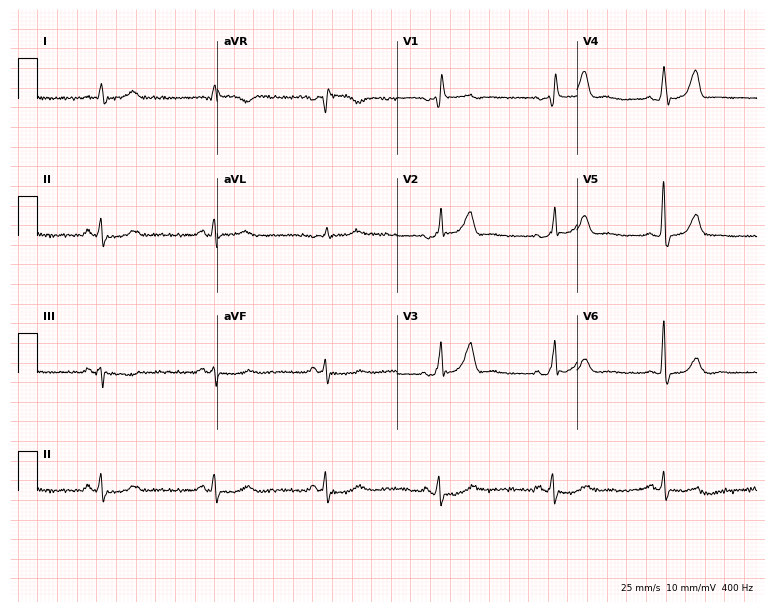
ECG — a 71-year-old man. Screened for six findings — first-degree AV block, right bundle branch block (RBBB), left bundle branch block (LBBB), sinus bradycardia, atrial fibrillation (AF), sinus tachycardia — none is recorded.